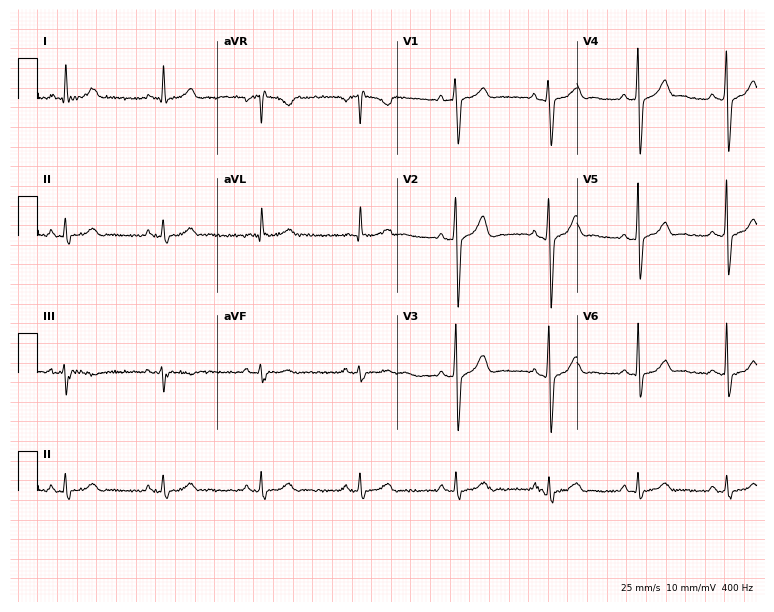
Standard 12-lead ECG recorded from a male patient, 65 years old (7.3-second recording at 400 Hz). Read as a normal ECG.